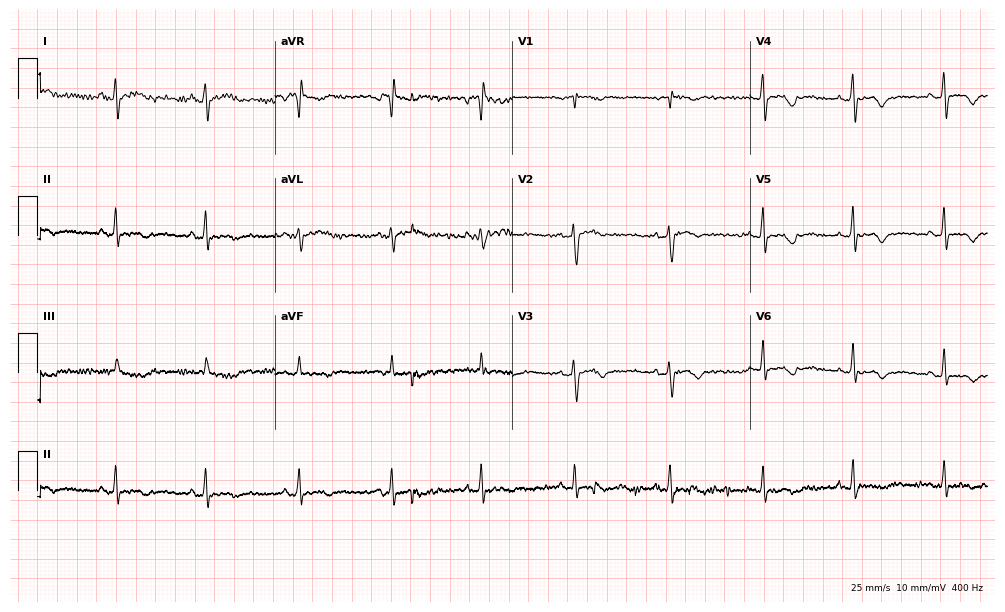
12-lead ECG (9.7-second recording at 400 Hz) from a 44-year-old female. Screened for six findings — first-degree AV block, right bundle branch block, left bundle branch block, sinus bradycardia, atrial fibrillation, sinus tachycardia — none is recorded.